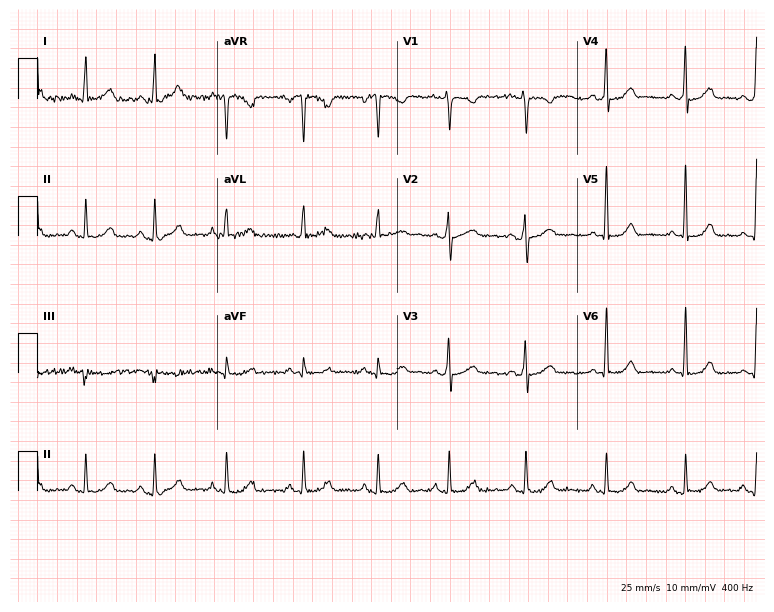
ECG — a 36-year-old female. Screened for six findings — first-degree AV block, right bundle branch block, left bundle branch block, sinus bradycardia, atrial fibrillation, sinus tachycardia — none is recorded. Findings outside these six are not listed.